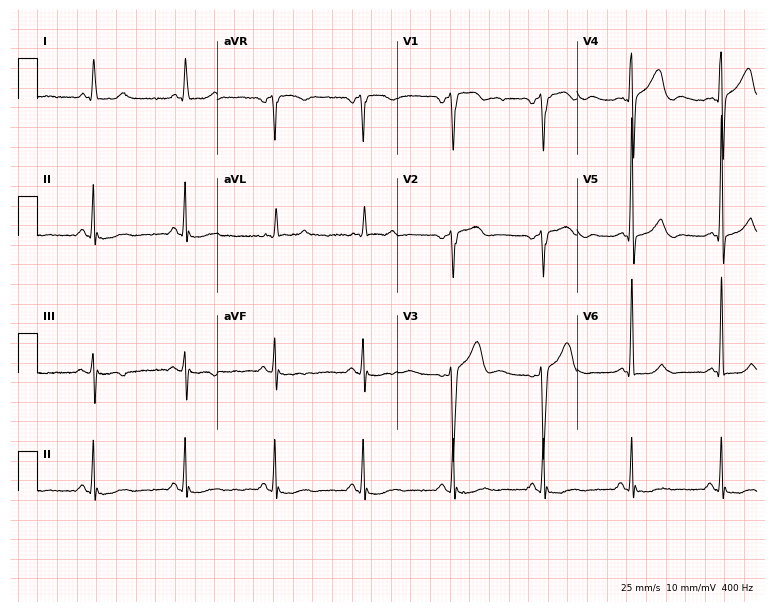
12-lead ECG from a male, 73 years old (7.3-second recording at 400 Hz). No first-degree AV block, right bundle branch block, left bundle branch block, sinus bradycardia, atrial fibrillation or sinus tachycardia recorded for this tracing. Only these six findings were labelled.